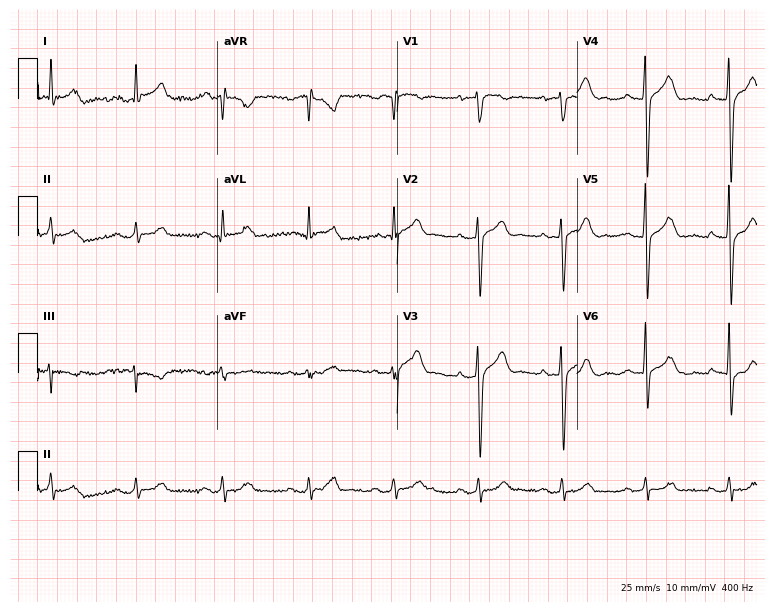
ECG — a man, 52 years old. Labelled as a normal ECG.